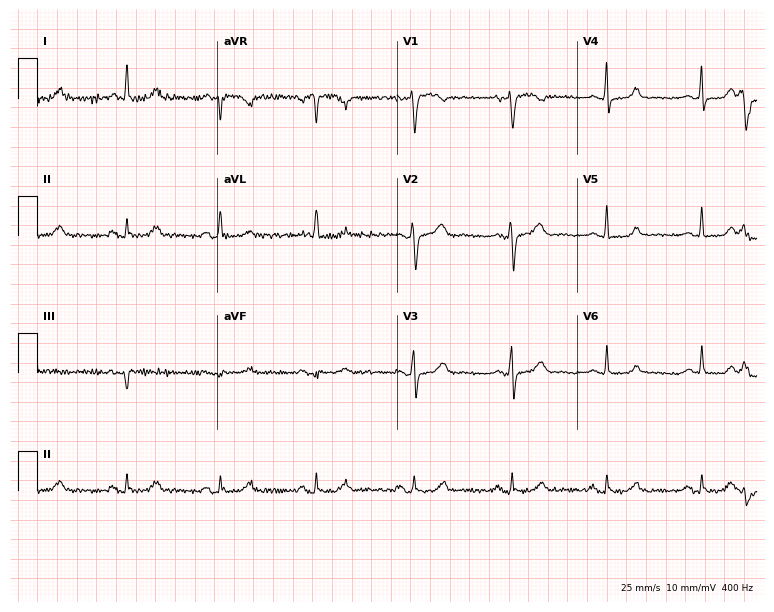
Resting 12-lead electrocardiogram. Patient: a female, 59 years old. None of these six findings is recorded: first-degree AV block, right bundle branch block (RBBB), left bundle branch block (LBBB), sinus bradycardia, atrial fibrillation (AF), sinus tachycardia. Findings outside these six are not listed.